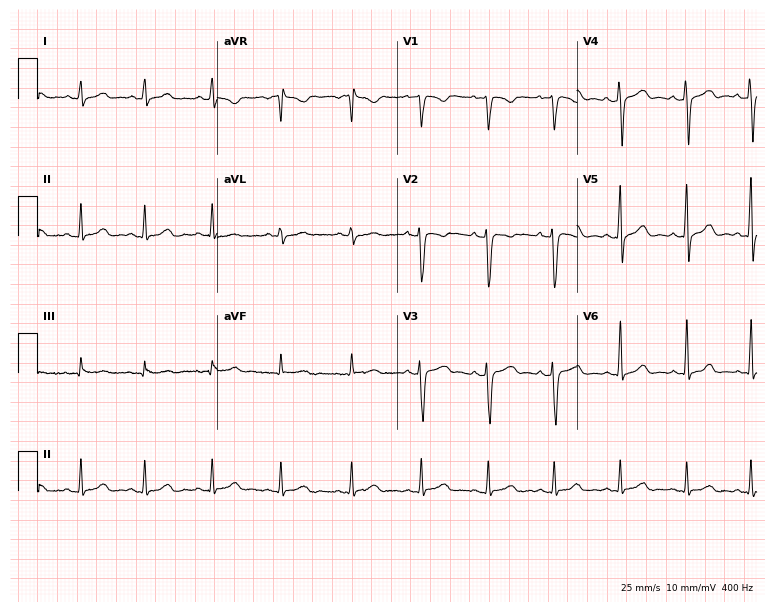
Resting 12-lead electrocardiogram (7.3-second recording at 400 Hz). Patient: a female, 33 years old. None of these six findings is recorded: first-degree AV block, right bundle branch block, left bundle branch block, sinus bradycardia, atrial fibrillation, sinus tachycardia. Only these six findings were labelled.